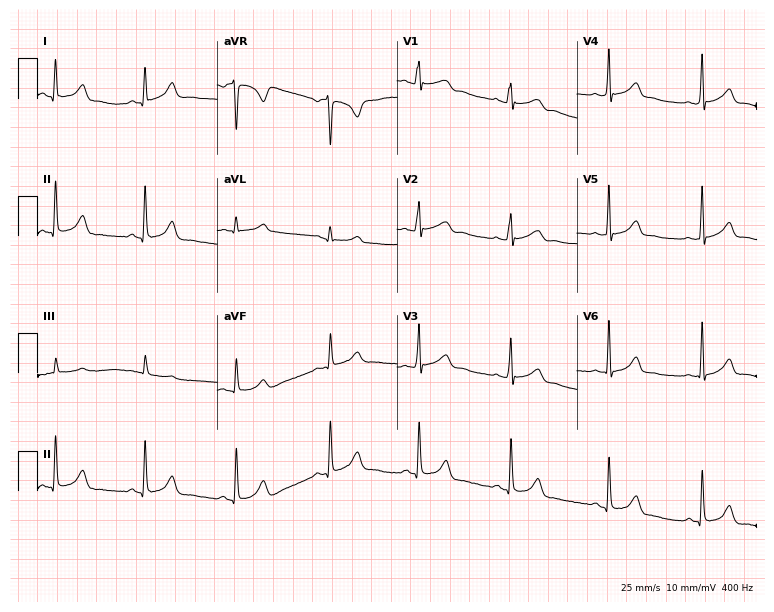
12-lead ECG from a female patient, 22 years old. No first-degree AV block, right bundle branch block (RBBB), left bundle branch block (LBBB), sinus bradycardia, atrial fibrillation (AF) or sinus tachycardia recorded for this tracing.